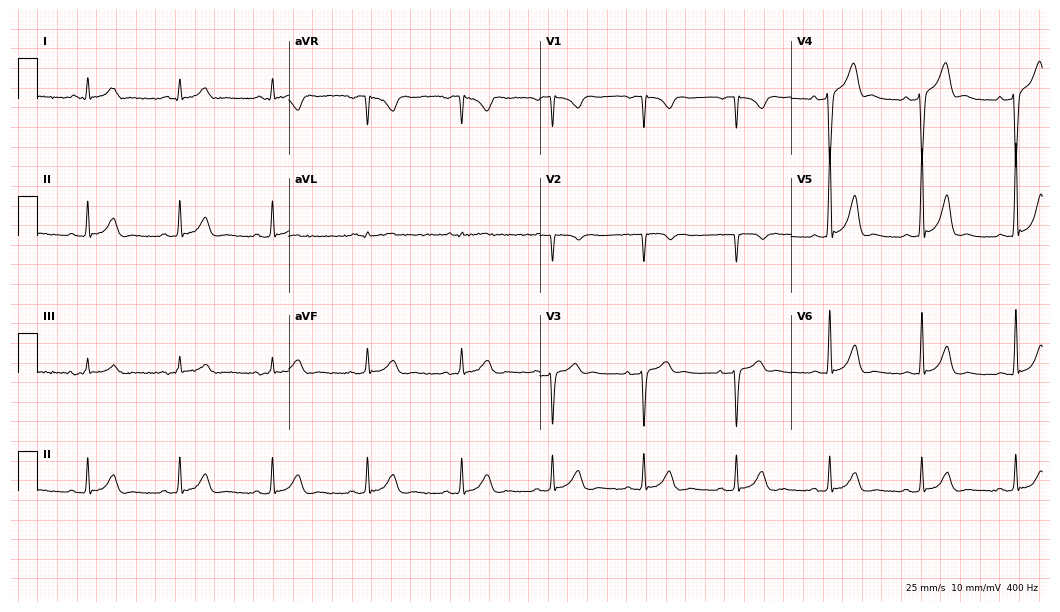
Resting 12-lead electrocardiogram. Patient: a 69-year-old male. None of these six findings is recorded: first-degree AV block, right bundle branch block, left bundle branch block, sinus bradycardia, atrial fibrillation, sinus tachycardia.